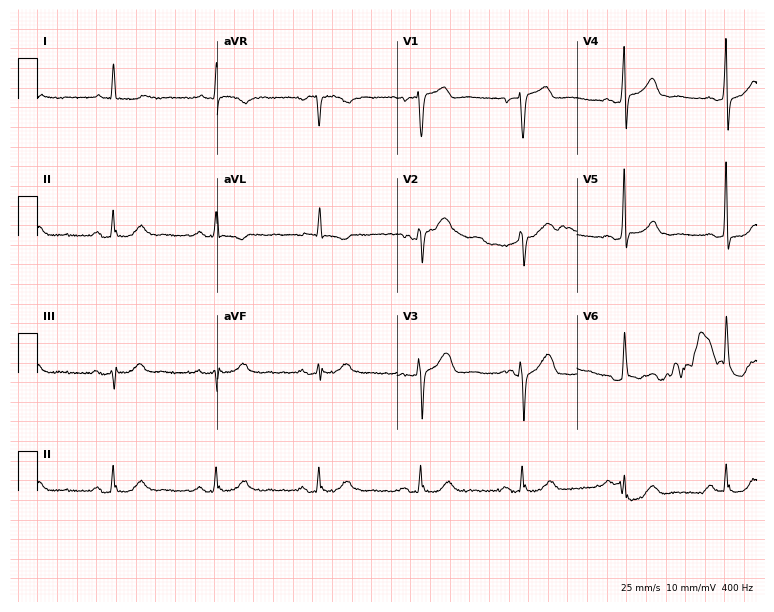
12-lead ECG (7.3-second recording at 400 Hz) from a 78-year-old male patient. Screened for six findings — first-degree AV block, right bundle branch block, left bundle branch block, sinus bradycardia, atrial fibrillation, sinus tachycardia — none is recorded. Only these six findings were labelled.